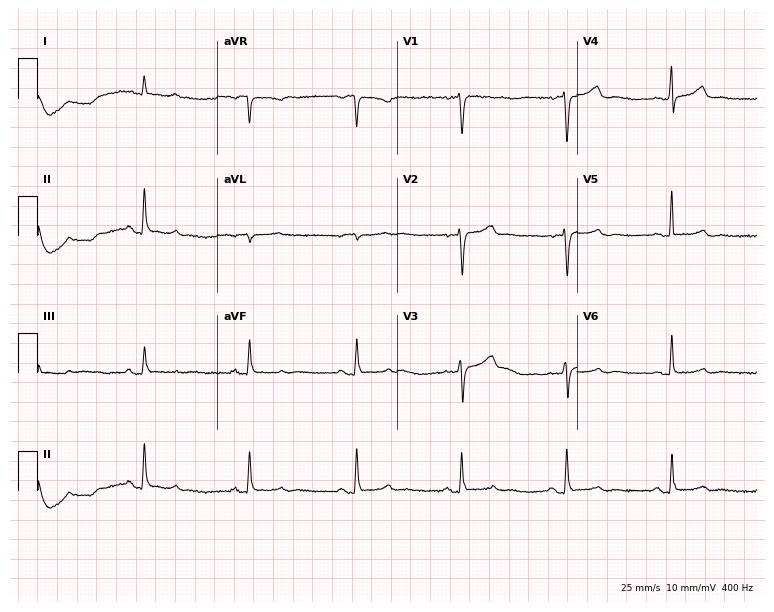
12-lead ECG from a female patient, 73 years old. Screened for six findings — first-degree AV block, right bundle branch block, left bundle branch block, sinus bradycardia, atrial fibrillation, sinus tachycardia — none is recorded.